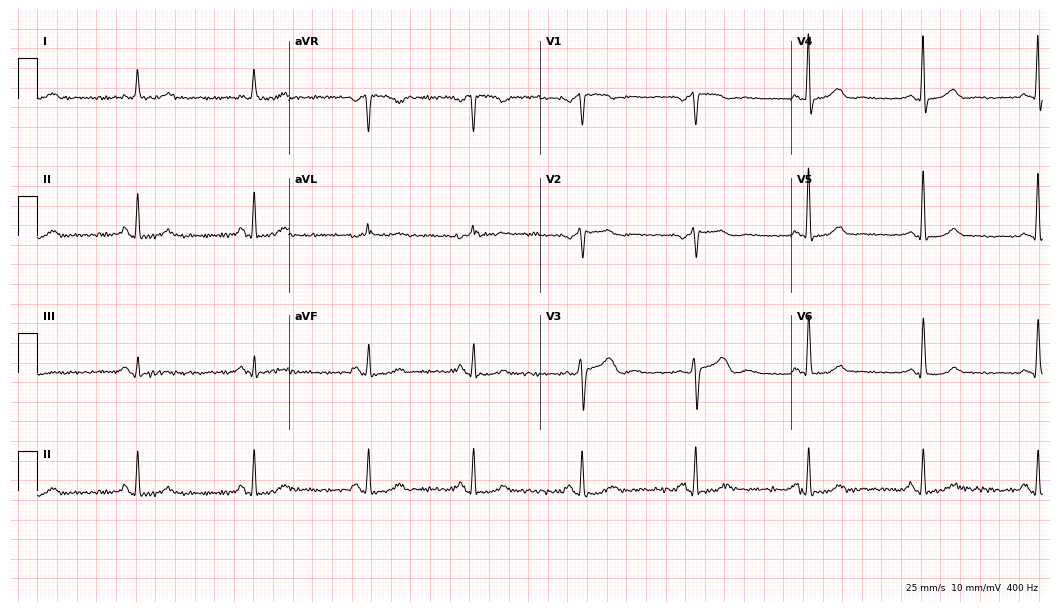
Standard 12-lead ECG recorded from a woman, 64 years old (10.2-second recording at 400 Hz). Read as a normal ECG.